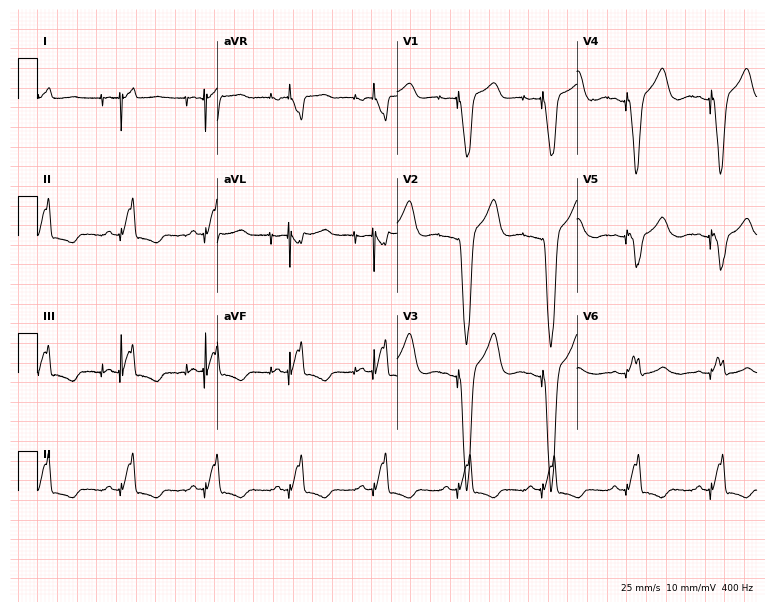
Standard 12-lead ECG recorded from a male, 55 years old. None of these six findings is recorded: first-degree AV block, right bundle branch block (RBBB), left bundle branch block (LBBB), sinus bradycardia, atrial fibrillation (AF), sinus tachycardia.